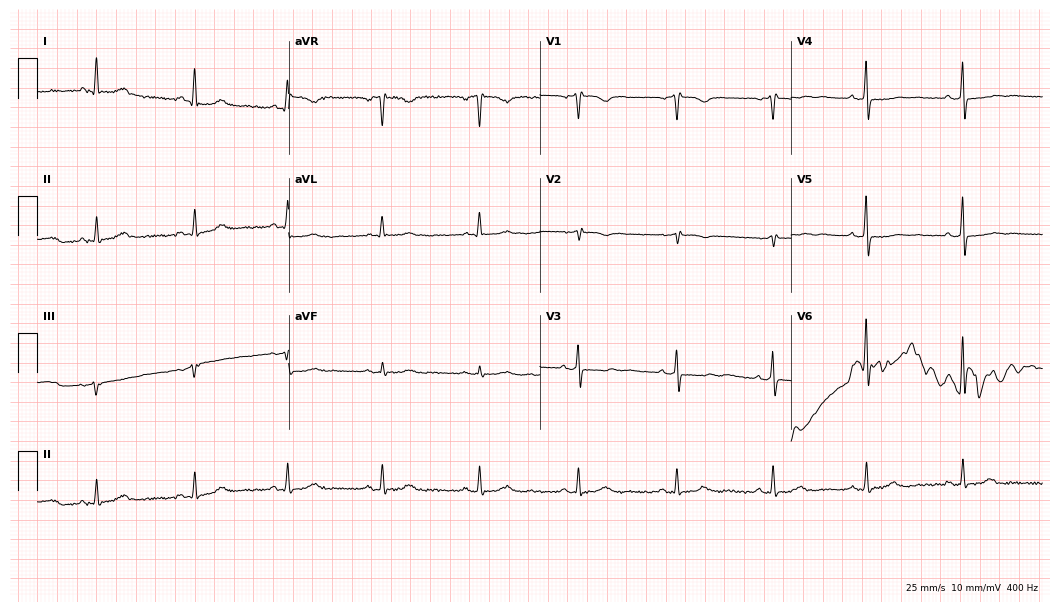
12-lead ECG from a female, 60 years old (10.2-second recording at 400 Hz). No first-degree AV block, right bundle branch block (RBBB), left bundle branch block (LBBB), sinus bradycardia, atrial fibrillation (AF) or sinus tachycardia recorded for this tracing.